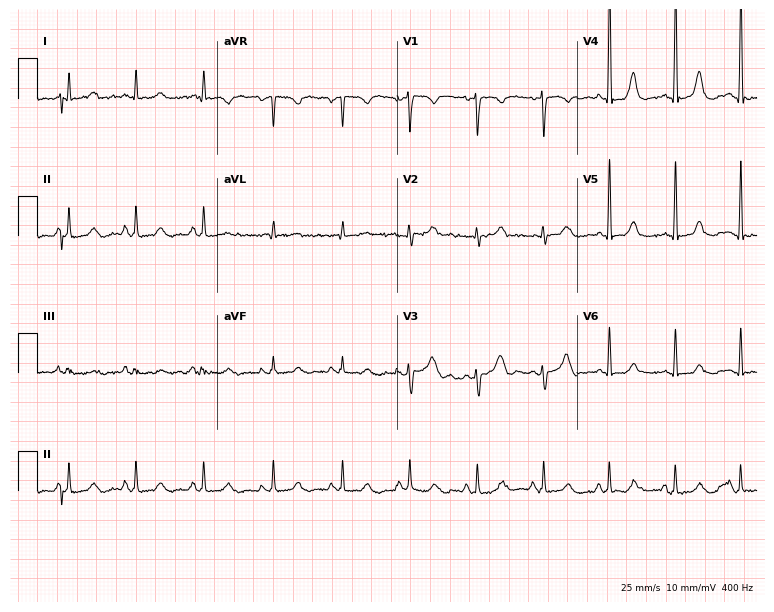
12-lead ECG (7.3-second recording at 400 Hz) from a female, 44 years old. Labelled as a normal ECG.